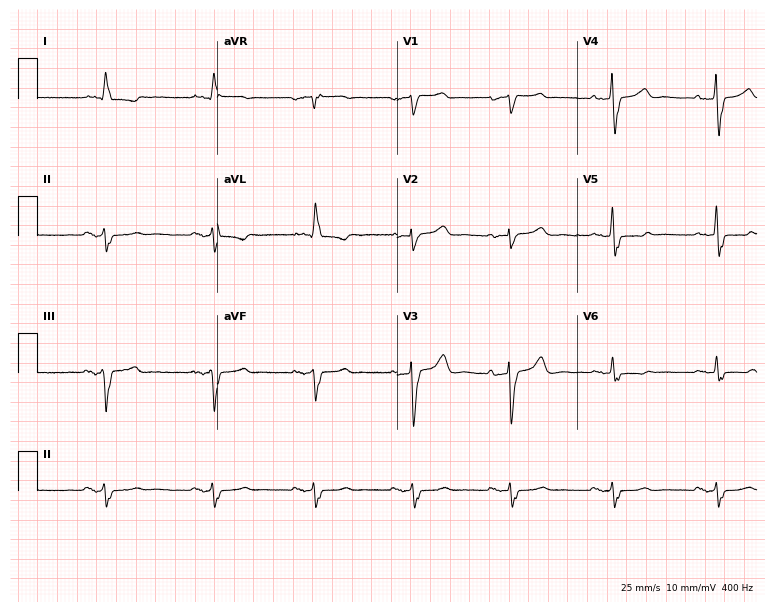
12-lead ECG (7.3-second recording at 400 Hz) from a 72-year-old male. Screened for six findings — first-degree AV block, right bundle branch block (RBBB), left bundle branch block (LBBB), sinus bradycardia, atrial fibrillation (AF), sinus tachycardia — none is recorded.